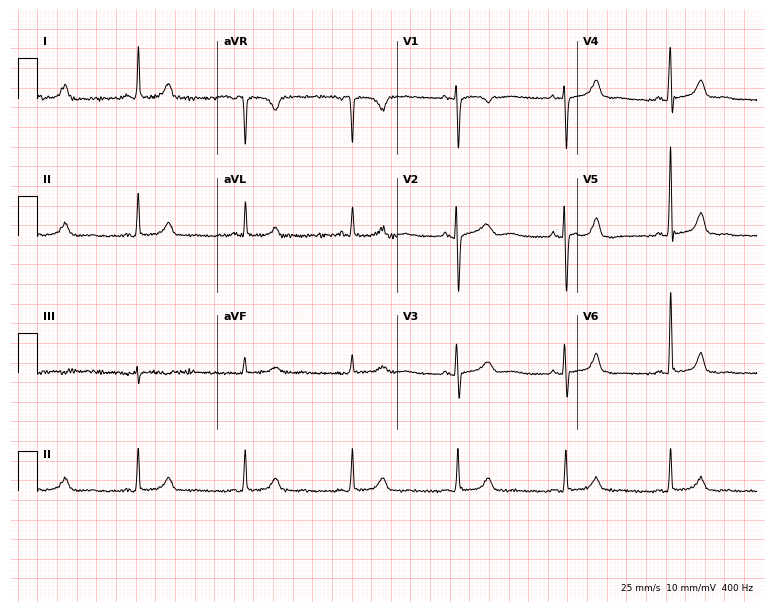
12-lead ECG (7.3-second recording at 400 Hz) from a 55-year-old woman. Screened for six findings — first-degree AV block, right bundle branch block, left bundle branch block, sinus bradycardia, atrial fibrillation, sinus tachycardia — none is recorded. Findings outside these six are not listed.